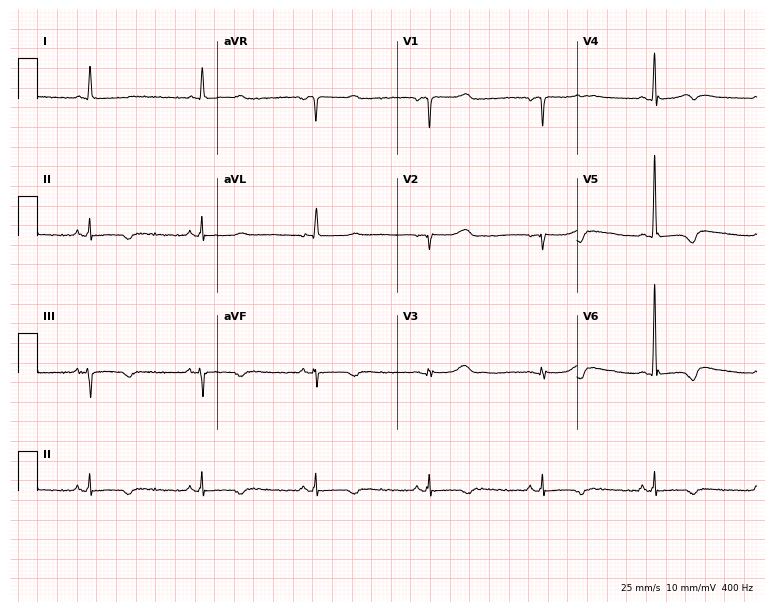
Resting 12-lead electrocardiogram. Patient: an 83-year-old female. None of these six findings is recorded: first-degree AV block, right bundle branch block (RBBB), left bundle branch block (LBBB), sinus bradycardia, atrial fibrillation (AF), sinus tachycardia.